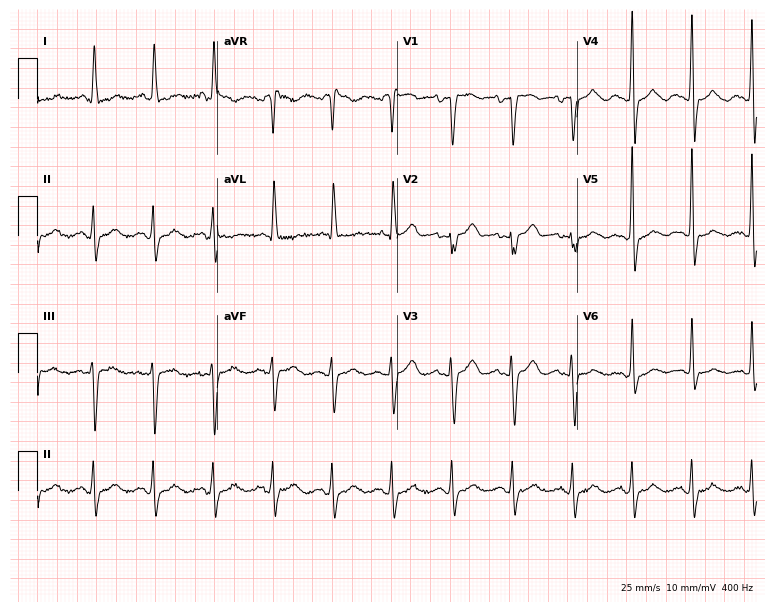
Standard 12-lead ECG recorded from a 73-year-old woman (7.3-second recording at 400 Hz). None of these six findings is recorded: first-degree AV block, right bundle branch block (RBBB), left bundle branch block (LBBB), sinus bradycardia, atrial fibrillation (AF), sinus tachycardia.